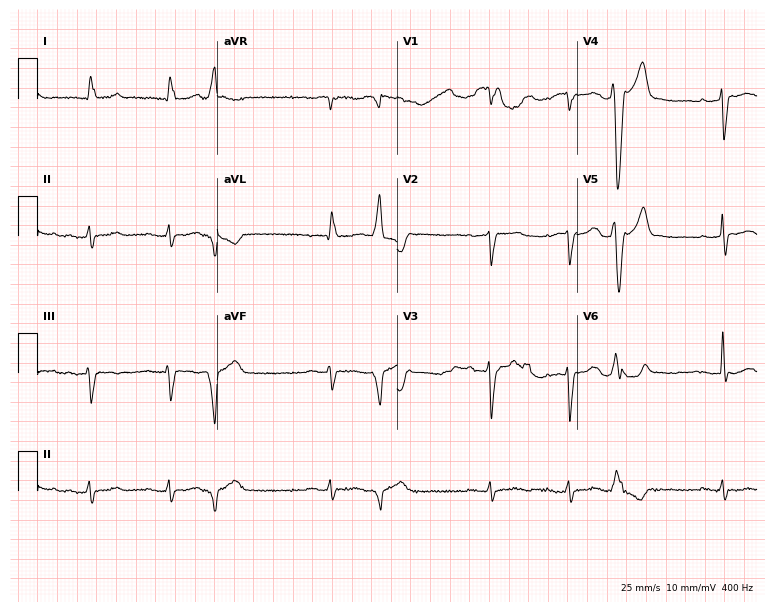
12-lead ECG from a male patient, 81 years old. Screened for six findings — first-degree AV block, right bundle branch block, left bundle branch block, sinus bradycardia, atrial fibrillation, sinus tachycardia — none is recorded.